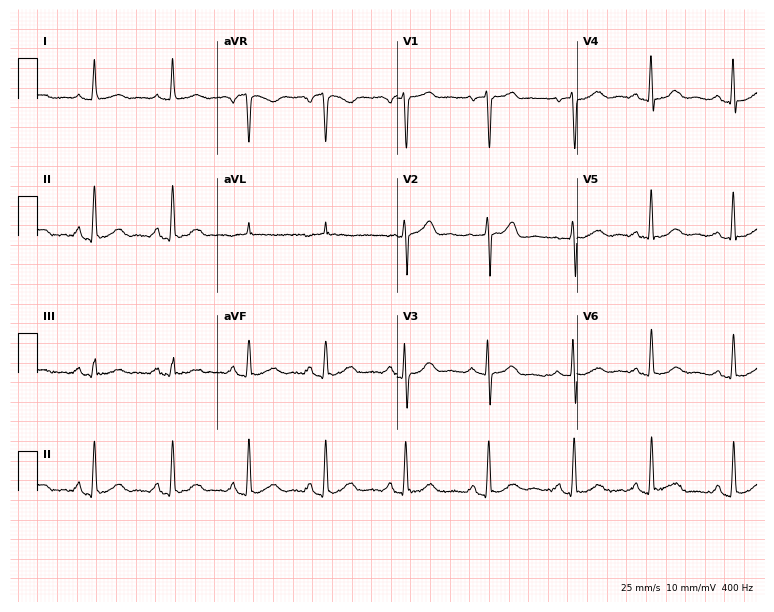
Standard 12-lead ECG recorded from a female patient, 67 years old. Read as a normal ECG.